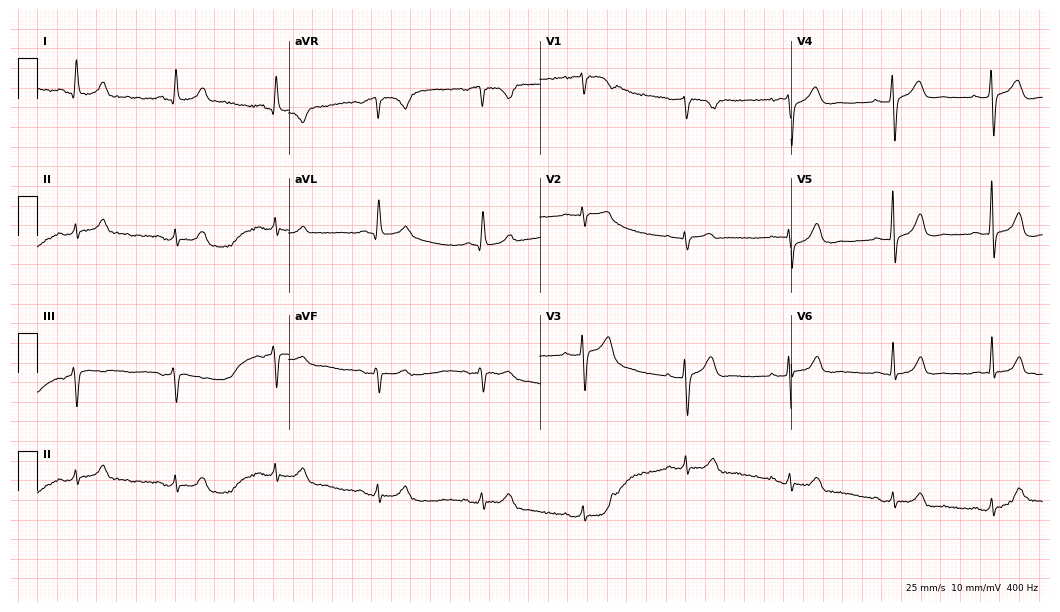
12-lead ECG from a female patient, 54 years old (10.2-second recording at 400 Hz). Recorded interpretation: within normal limits.